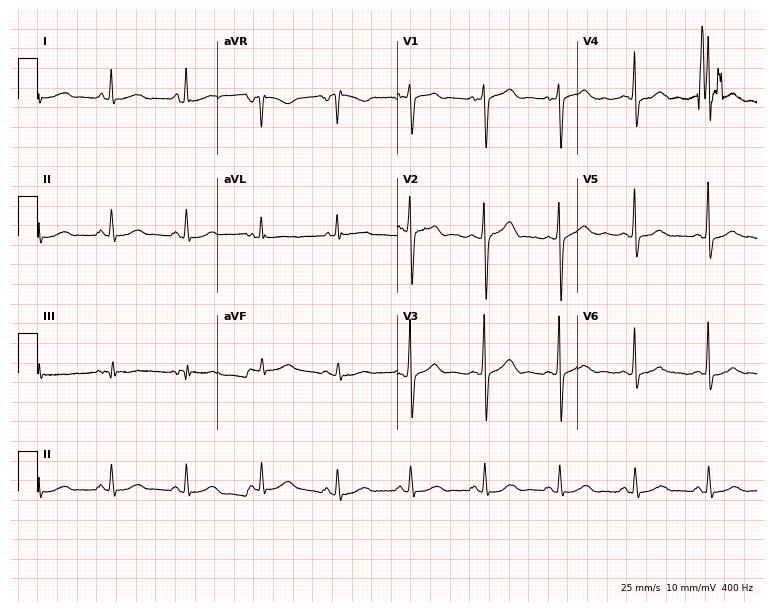
Electrocardiogram, a 59-year-old woman. Overall reading on record: normal ECG.